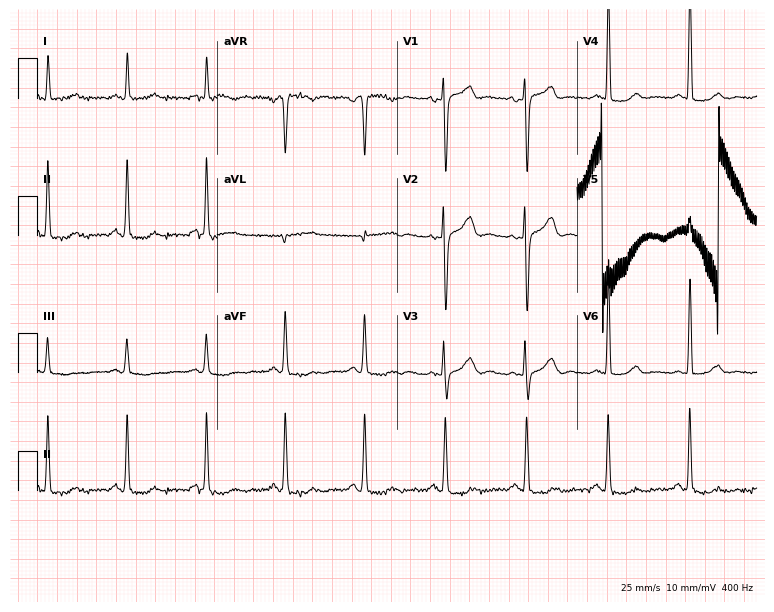
12-lead ECG from a 64-year-old female patient (7.3-second recording at 400 Hz). No first-degree AV block, right bundle branch block, left bundle branch block, sinus bradycardia, atrial fibrillation or sinus tachycardia recorded for this tracing. Findings outside these six are not listed.